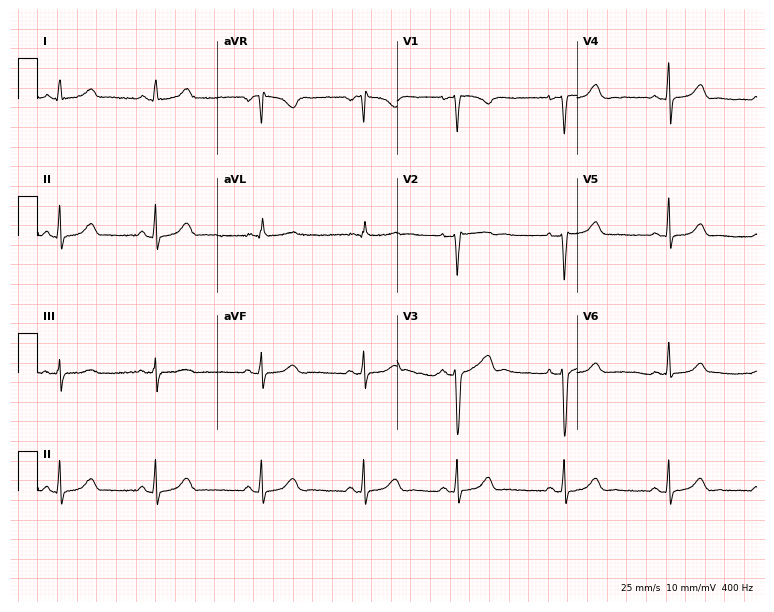
ECG (7.3-second recording at 400 Hz) — a woman, 33 years old. Screened for six findings — first-degree AV block, right bundle branch block (RBBB), left bundle branch block (LBBB), sinus bradycardia, atrial fibrillation (AF), sinus tachycardia — none is recorded. Only these six findings were labelled.